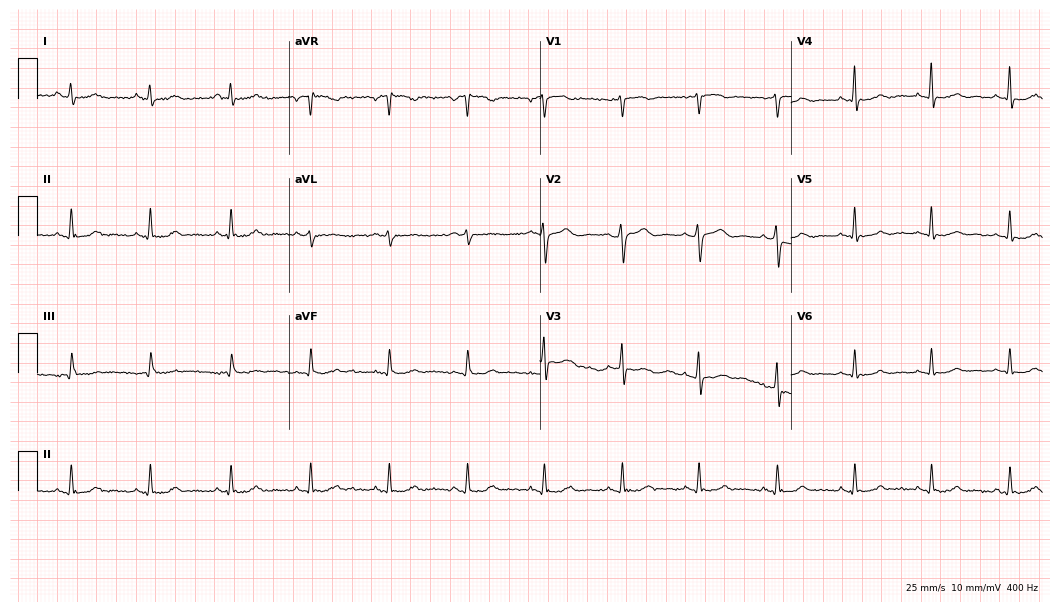
Electrocardiogram, a male patient, 63 years old. Overall reading on record: normal ECG.